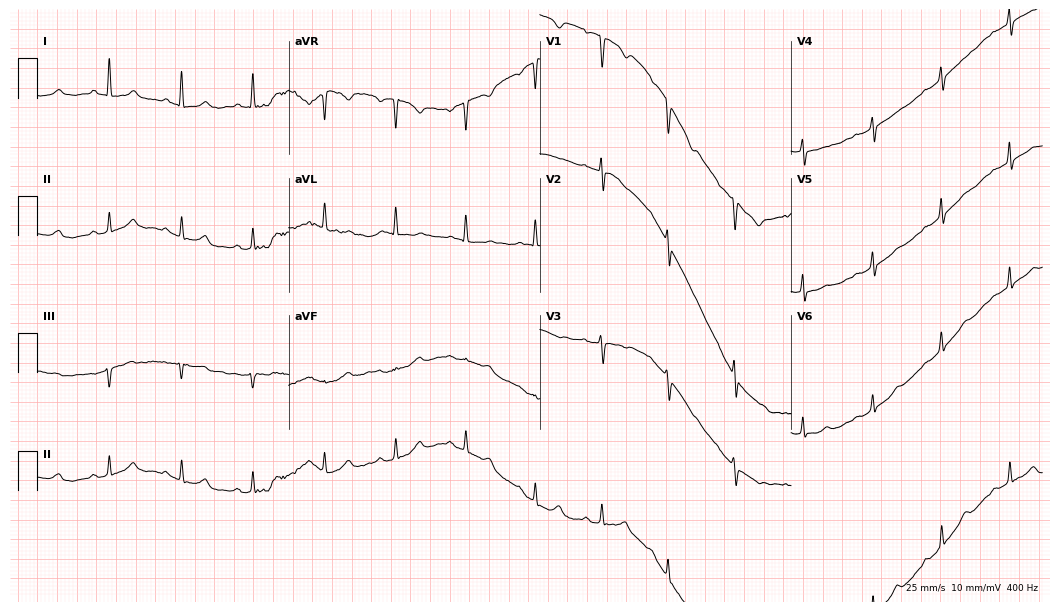
12-lead ECG from a female patient, 45 years old. No first-degree AV block, right bundle branch block (RBBB), left bundle branch block (LBBB), sinus bradycardia, atrial fibrillation (AF) or sinus tachycardia recorded for this tracing.